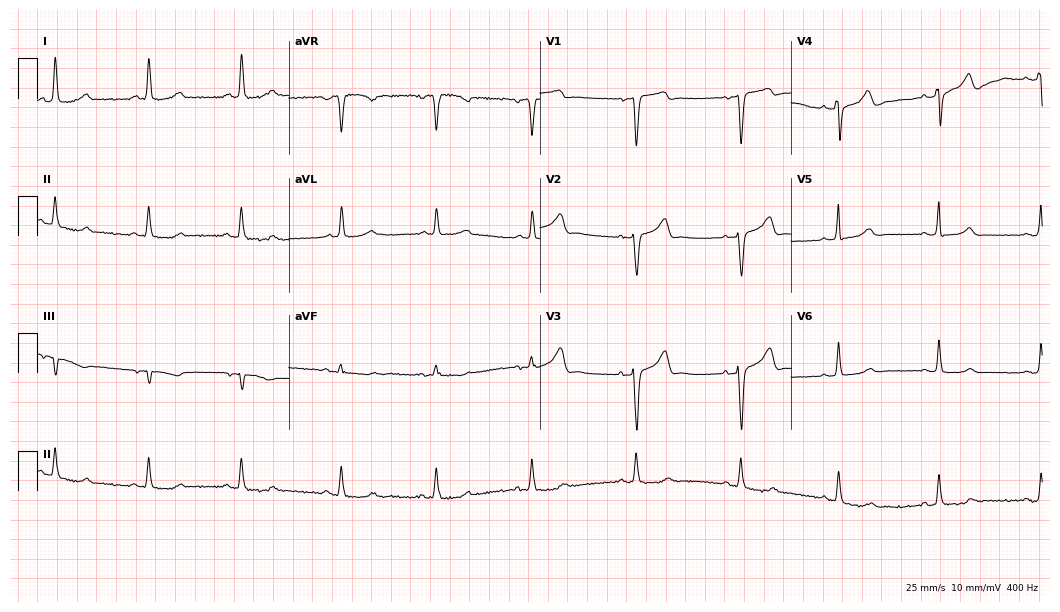
ECG (10.2-second recording at 400 Hz) — a female, 48 years old. Labelled as a normal ECG.